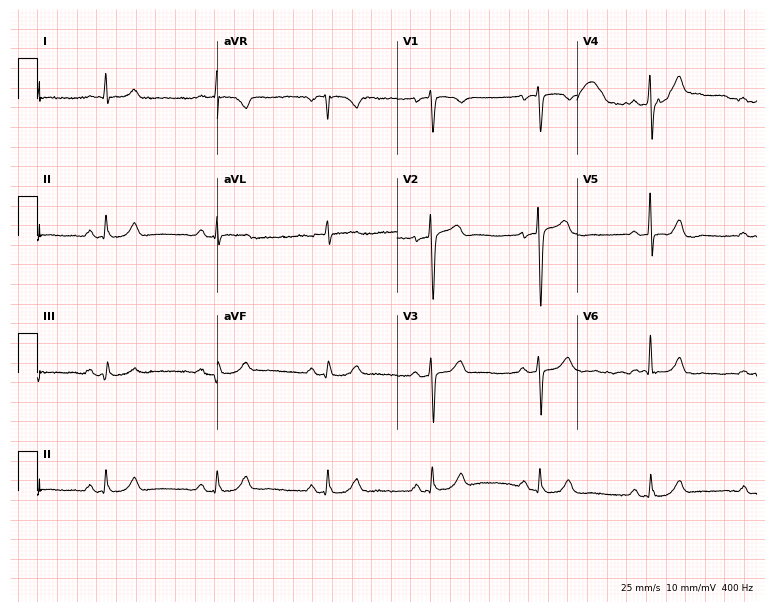
Resting 12-lead electrocardiogram (7.3-second recording at 400 Hz). Patient: a male, 70 years old. None of these six findings is recorded: first-degree AV block, right bundle branch block (RBBB), left bundle branch block (LBBB), sinus bradycardia, atrial fibrillation (AF), sinus tachycardia. Only these six findings were labelled.